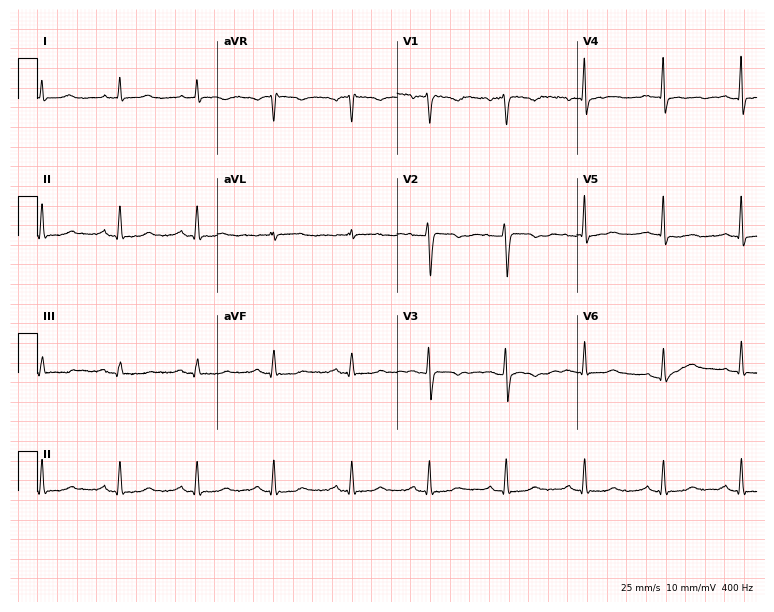
Standard 12-lead ECG recorded from a 65-year-old woman. None of these six findings is recorded: first-degree AV block, right bundle branch block, left bundle branch block, sinus bradycardia, atrial fibrillation, sinus tachycardia.